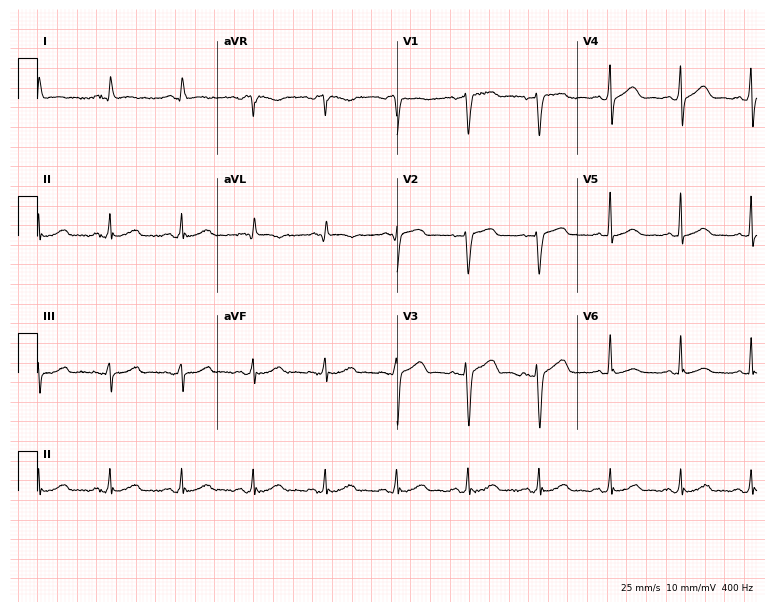
Resting 12-lead electrocardiogram. Patient: a 59-year-old woman. Read as a normal ECG.